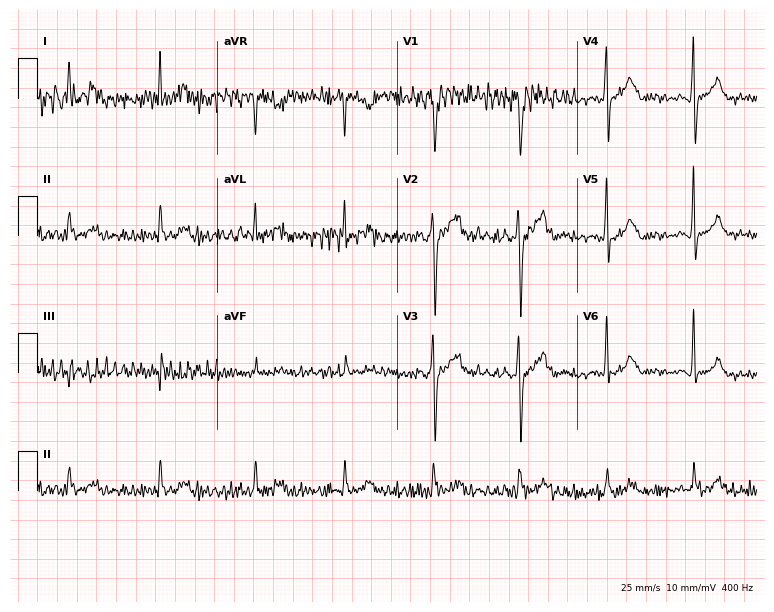
12-lead ECG from a man, 37 years old. No first-degree AV block, right bundle branch block, left bundle branch block, sinus bradycardia, atrial fibrillation or sinus tachycardia recorded for this tracing.